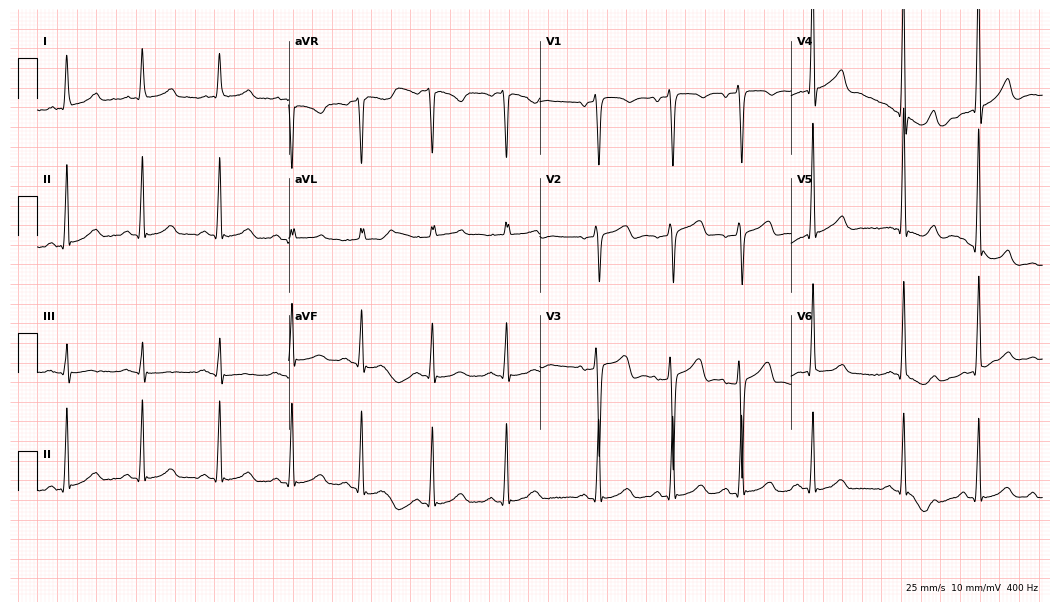
Standard 12-lead ECG recorded from a man, 78 years old (10.2-second recording at 400 Hz). Read as a normal ECG.